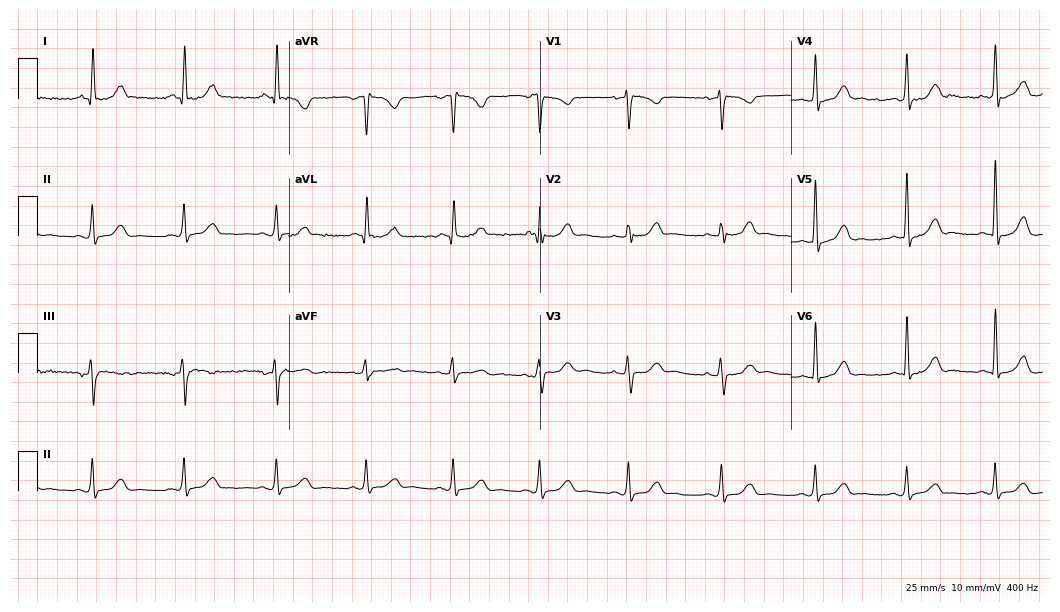
Electrocardiogram, a female, 61 years old. Overall reading on record: normal ECG.